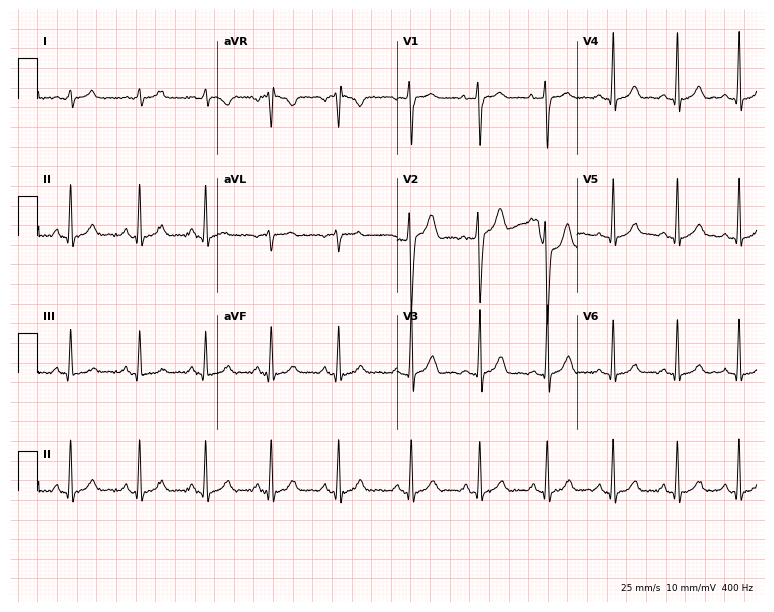
Resting 12-lead electrocardiogram. Patient: a 22-year-old male. Read as a normal ECG.